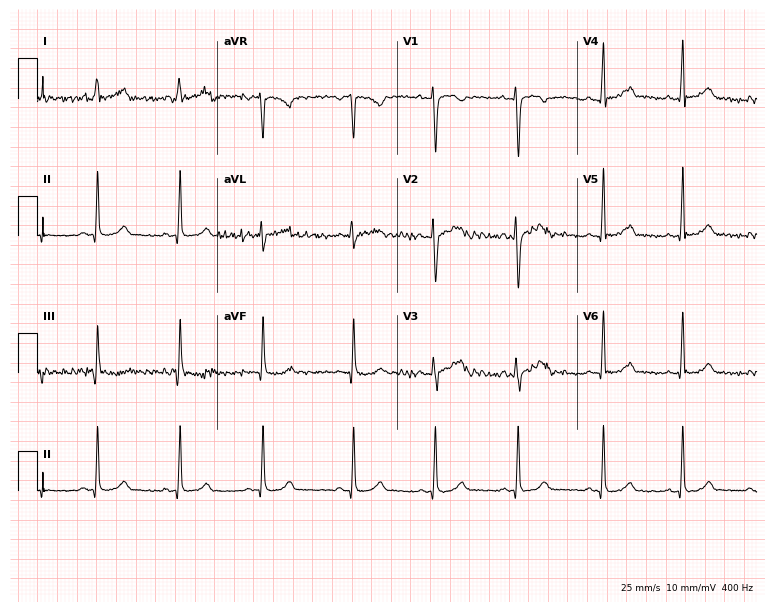
Standard 12-lead ECG recorded from a 29-year-old woman (7.3-second recording at 400 Hz). Read as a normal ECG.